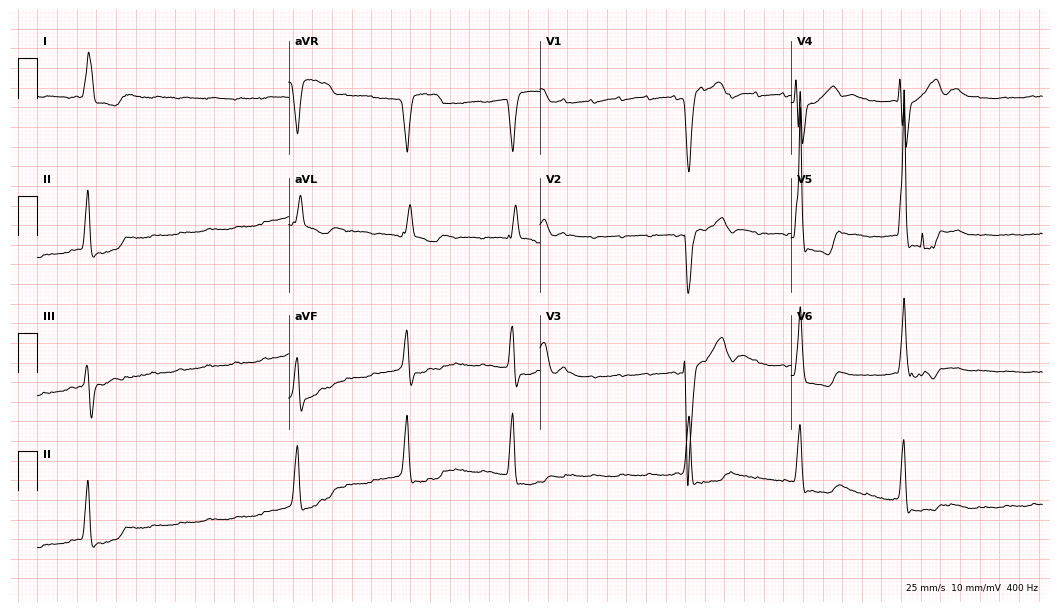
12-lead ECG from a female, 76 years old. Shows left bundle branch block, atrial fibrillation.